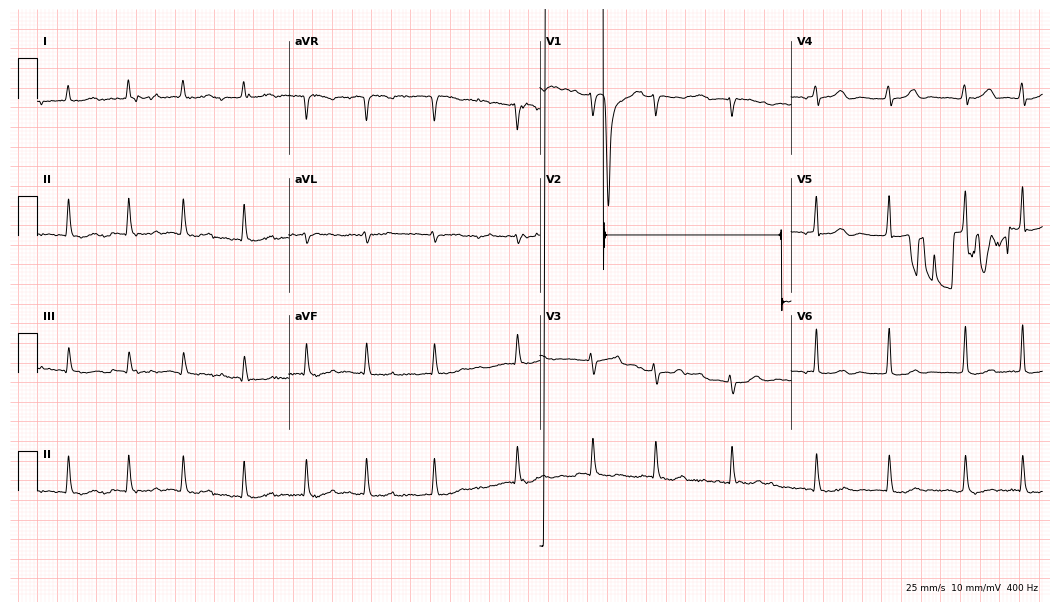
Electrocardiogram (10.2-second recording at 400 Hz), a woman, 73 years old. Interpretation includes atrial fibrillation.